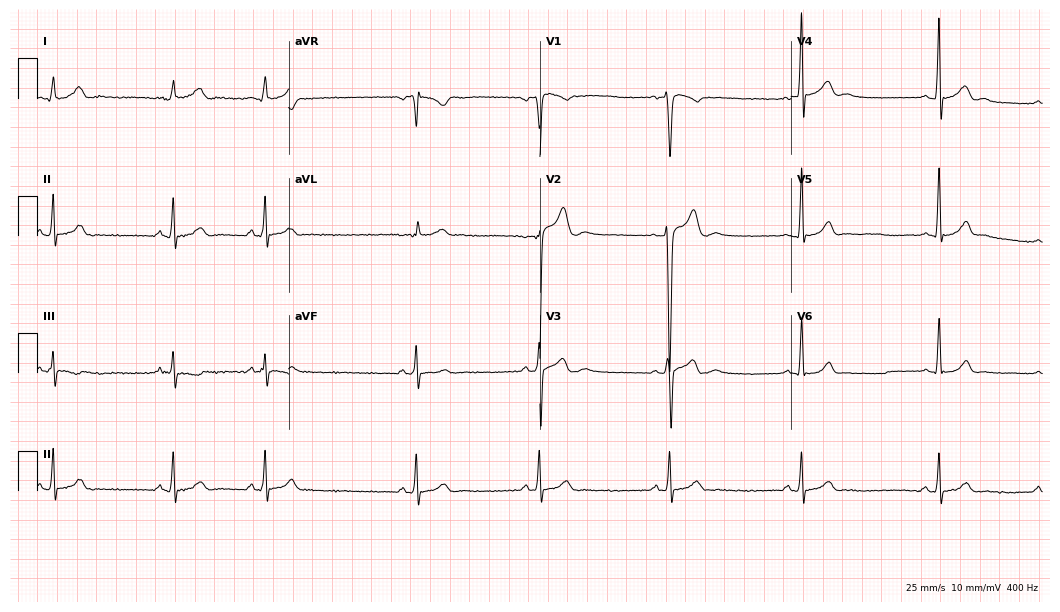
Resting 12-lead electrocardiogram (10.2-second recording at 400 Hz). Patient: a 17-year-old man. The tracing shows sinus bradycardia (a sinus rate of 50 beats per minute or less).